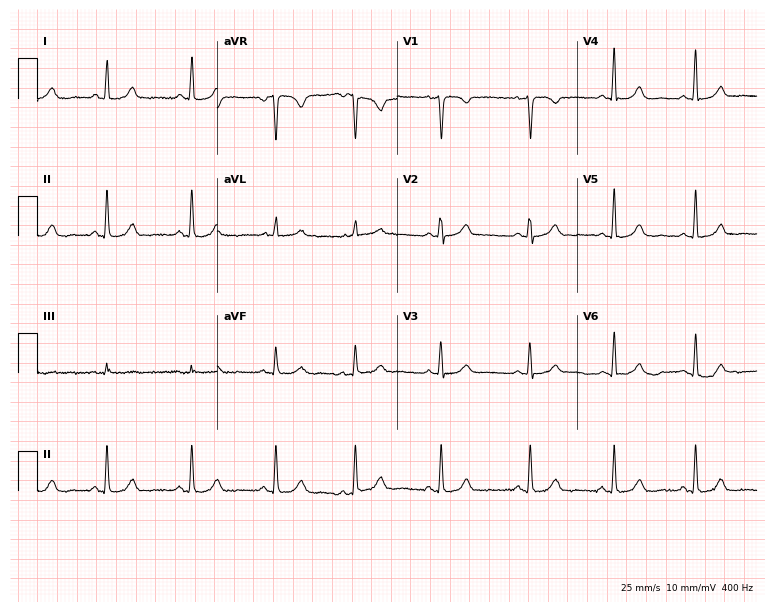
Standard 12-lead ECG recorded from a woman, 39 years old (7.3-second recording at 400 Hz). Read as a normal ECG.